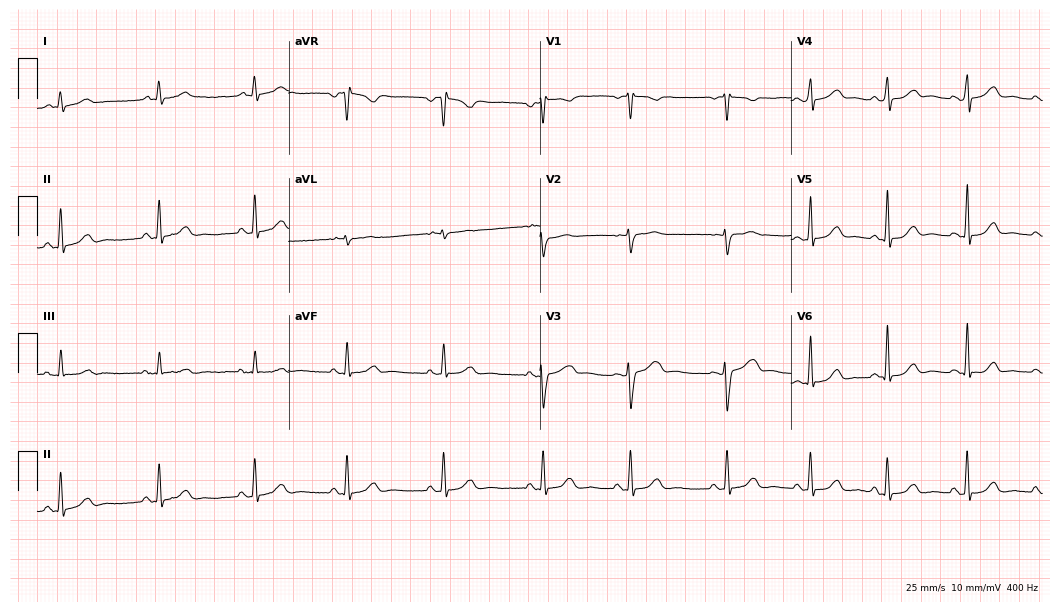
12-lead ECG from a female, 25 years old (10.2-second recording at 400 Hz). Recorded interpretation: within normal limits.